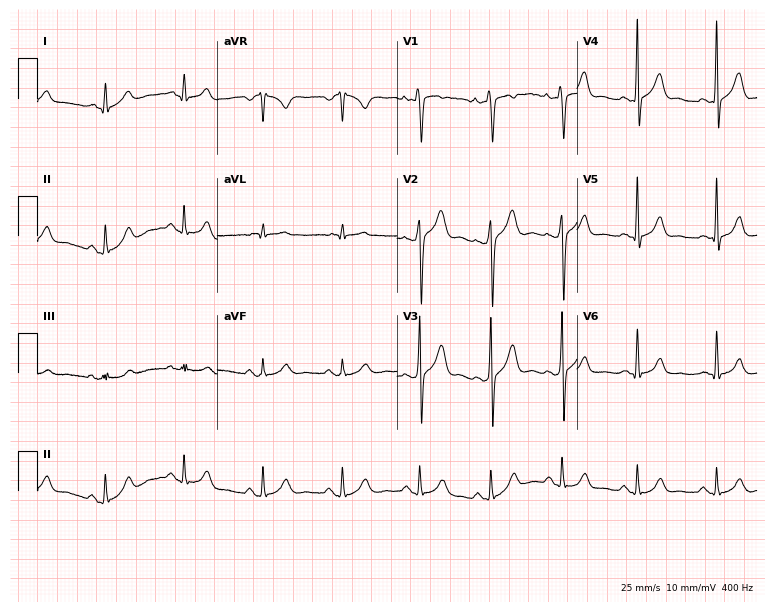
12-lead ECG from a 30-year-old man. Labelled as a normal ECG.